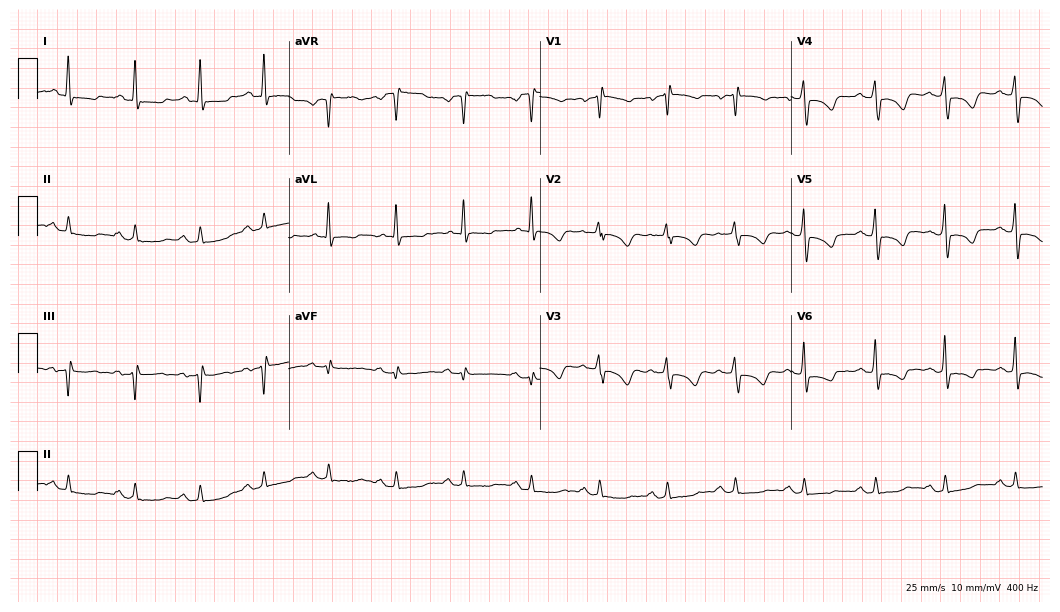
12-lead ECG from a female patient, 58 years old. No first-degree AV block, right bundle branch block, left bundle branch block, sinus bradycardia, atrial fibrillation or sinus tachycardia recorded for this tracing.